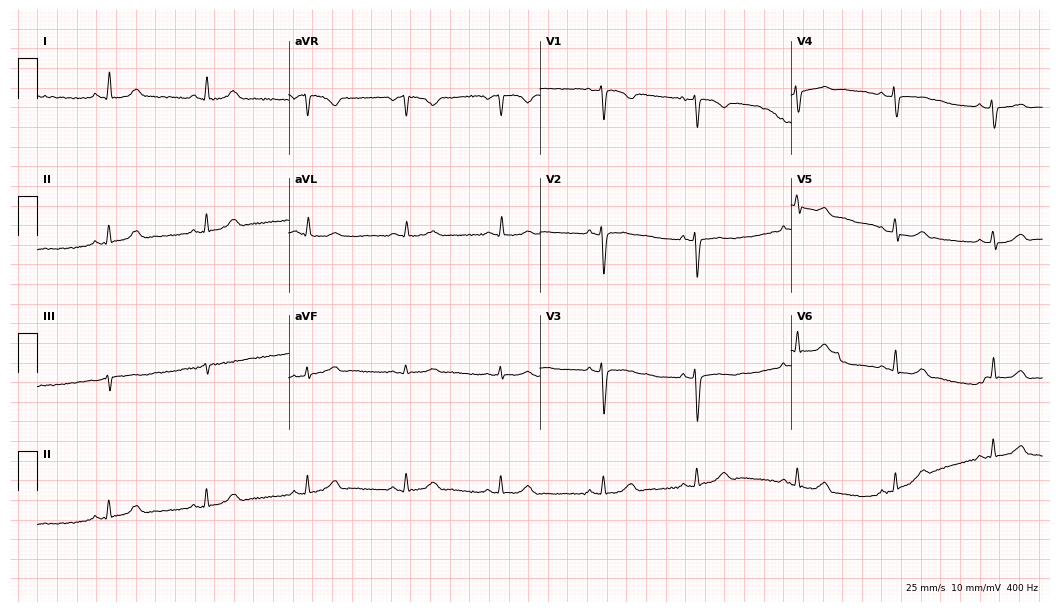
Standard 12-lead ECG recorded from a female, 28 years old (10.2-second recording at 400 Hz). None of these six findings is recorded: first-degree AV block, right bundle branch block, left bundle branch block, sinus bradycardia, atrial fibrillation, sinus tachycardia. Only these six findings were labelled.